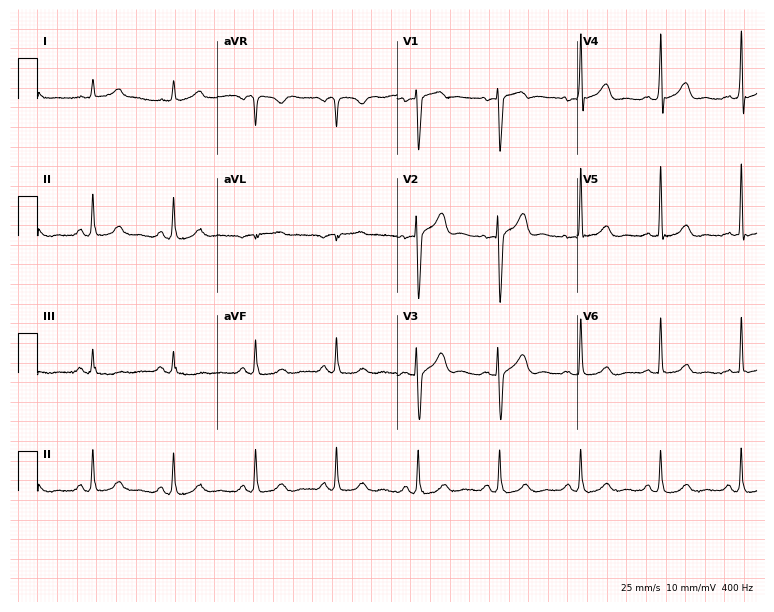
Resting 12-lead electrocardiogram (7.3-second recording at 400 Hz). Patient: a man, 62 years old. Read as a normal ECG.